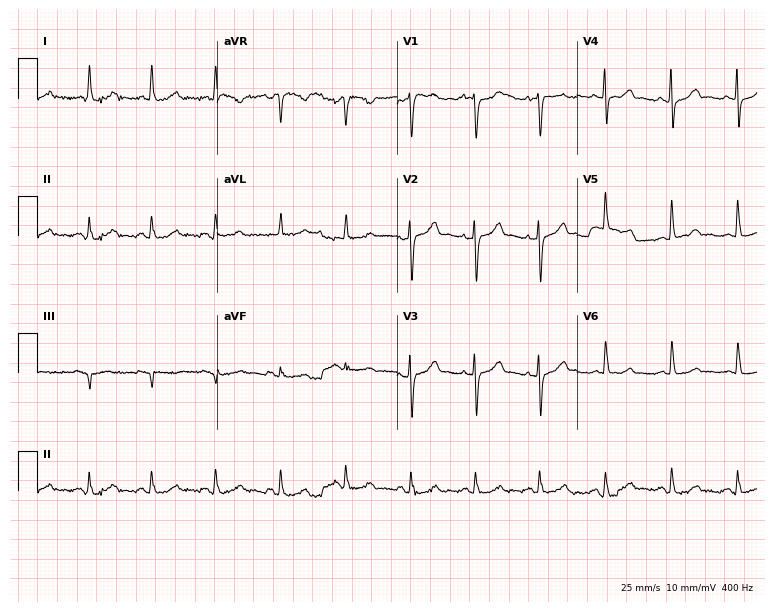
12-lead ECG (7.3-second recording at 400 Hz) from a 74-year-old female patient. Labelled as a normal ECG.